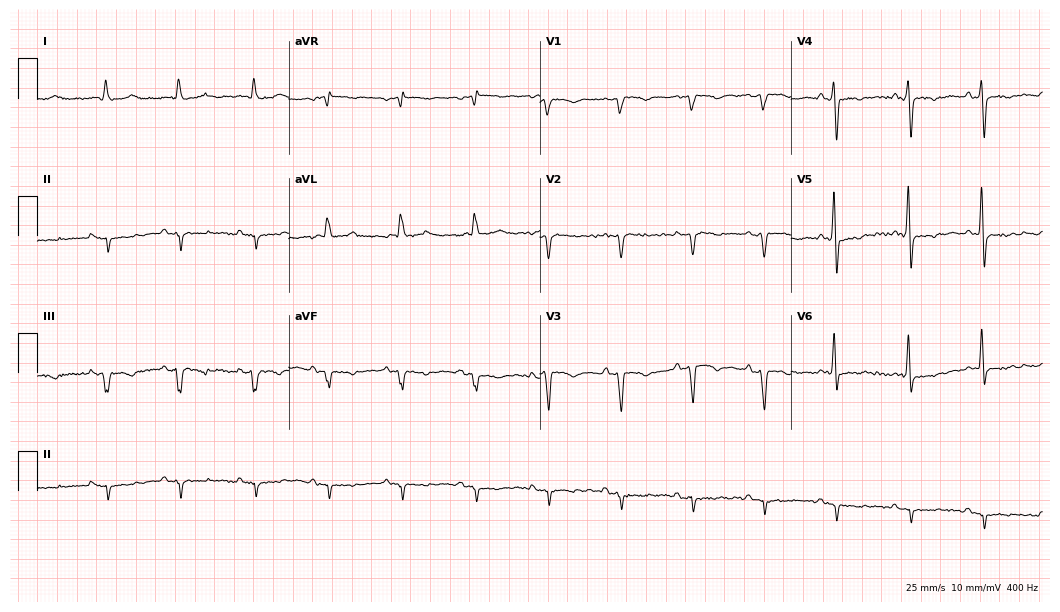
12-lead ECG from a male patient, 76 years old. No first-degree AV block, right bundle branch block, left bundle branch block, sinus bradycardia, atrial fibrillation or sinus tachycardia recorded for this tracing. Findings outside these six are not listed.